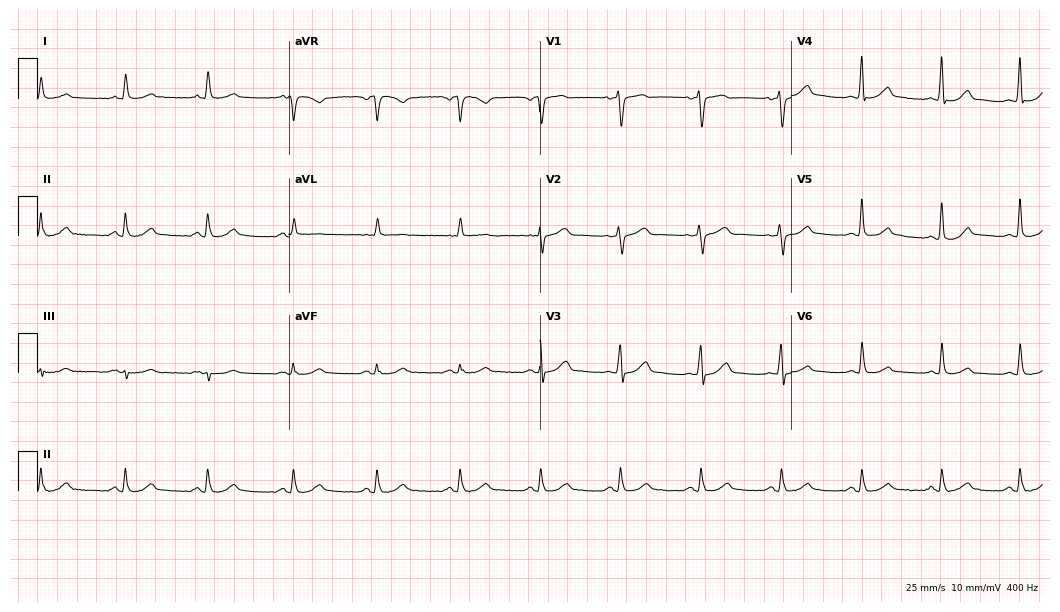
Standard 12-lead ECG recorded from a female patient, 69 years old. Read as a normal ECG.